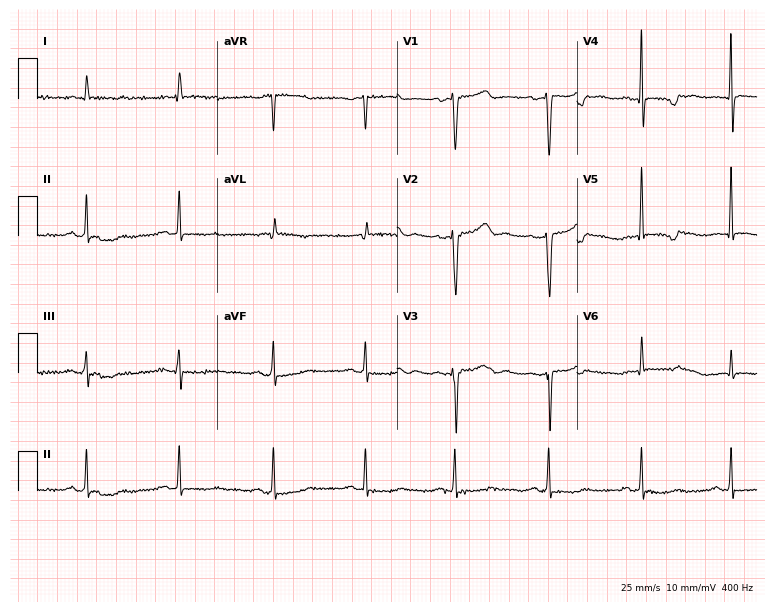
12-lead ECG (7.3-second recording at 400 Hz) from a 66-year-old woman. Screened for six findings — first-degree AV block, right bundle branch block, left bundle branch block, sinus bradycardia, atrial fibrillation, sinus tachycardia — none is recorded. Only these six findings were labelled.